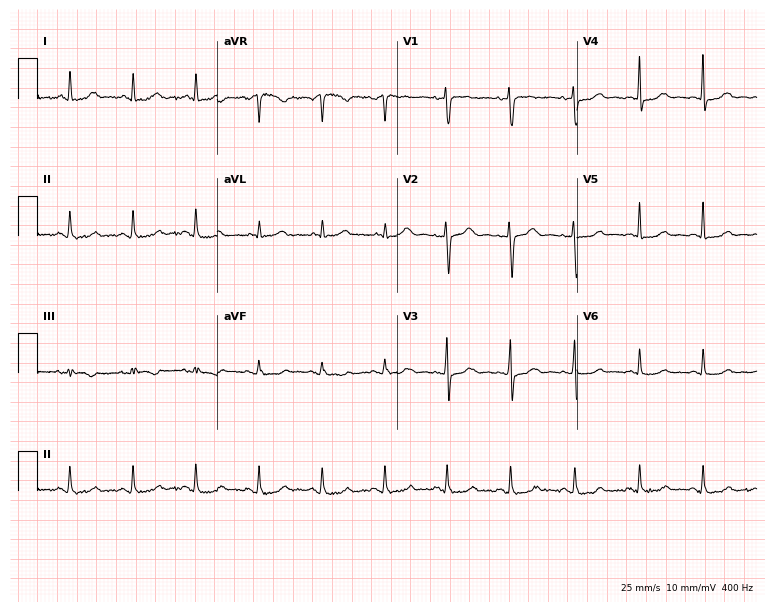
ECG (7.3-second recording at 400 Hz) — a woman, 57 years old. Screened for six findings — first-degree AV block, right bundle branch block, left bundle branch block, sinus bradycardia, atrial fibrillation, sinus tachycardia — none is recorded.